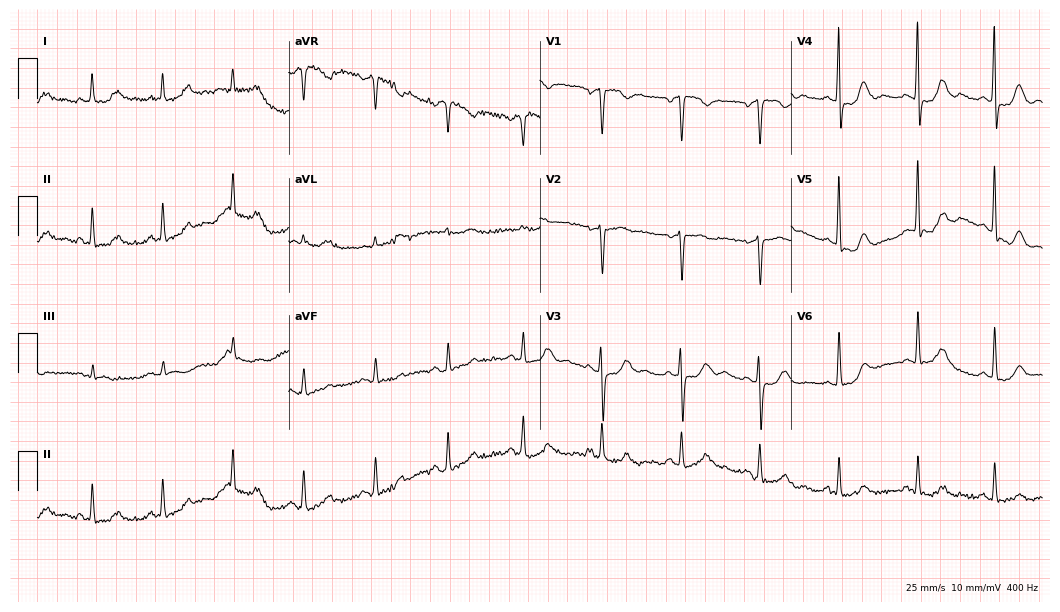
Standard 12-lead ECG recorded from a female patient, 78 years old. None of these six findings is recorded: first-degree AV block, right bundle branch block, left bundle branch block, sinus bradycardia, atrial fibrillation, sinus tachycardia.